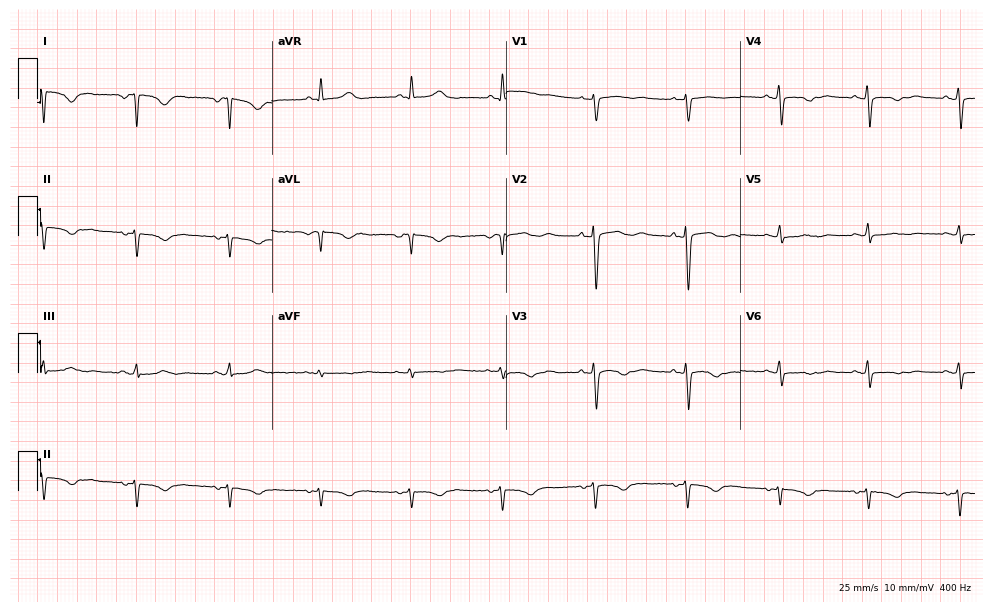
12-lead ECG from a woman, 57 years old. No first-degree AV block, right bundle branch block (RBBB), left bundle branch block (LBBB), sinus bradycardia, atrial fibrillation (AF) or sinus tachycardia recorded for this tracing. Other findings, if any, are not listed.